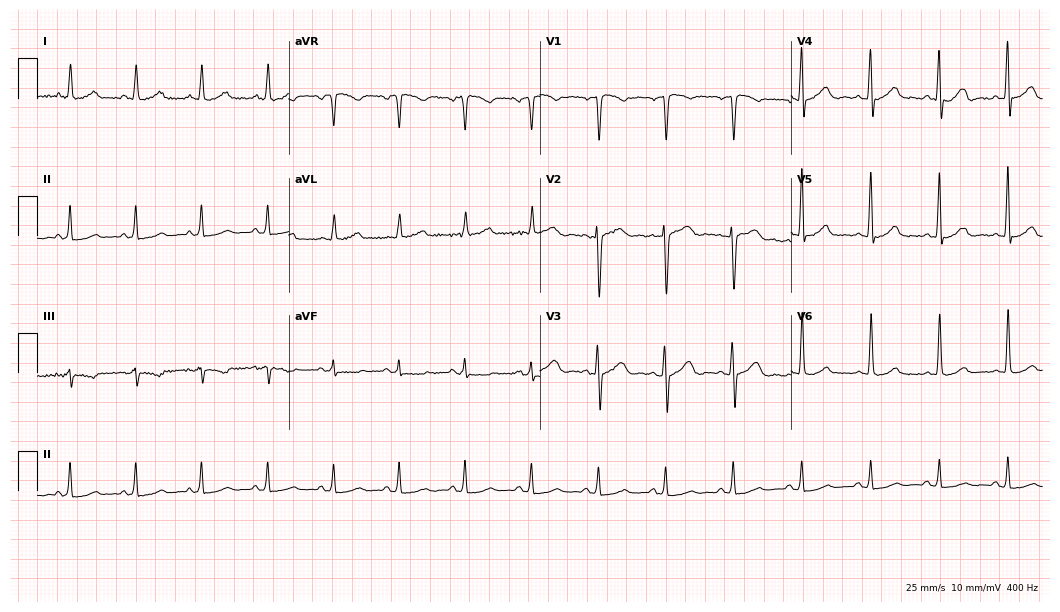
12-lead ECG from a 50-year-old woman. Recorded interpretation: within normal limits.